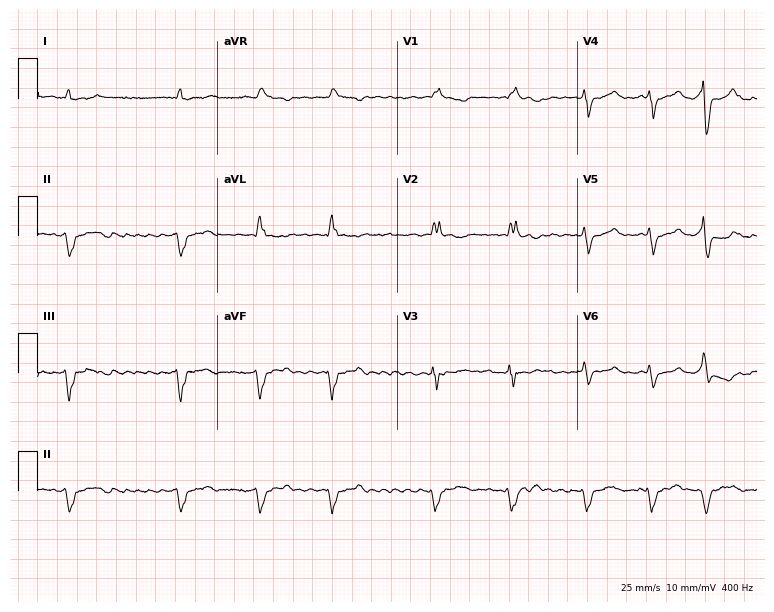
Resting 12-lead electrocardiogram. Patient: a 67-year-old female. The tracing shows right bundle branch block.